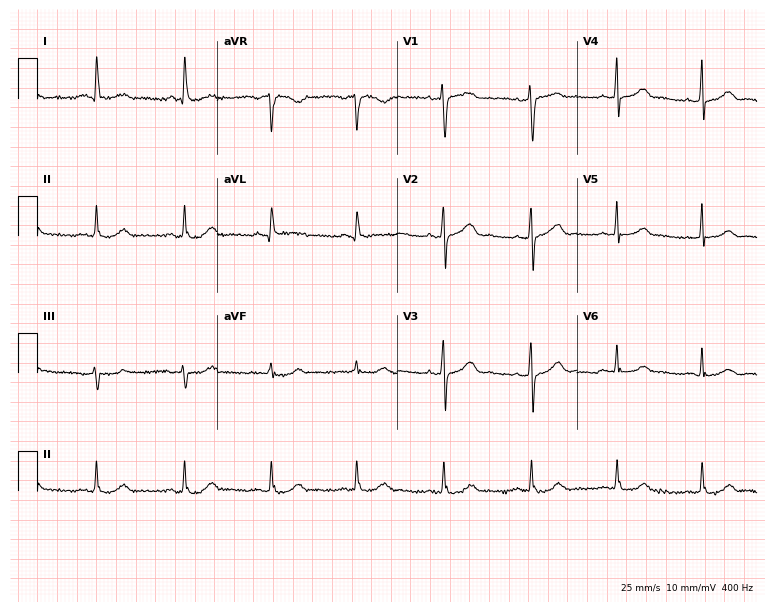
ECG (7.3-second recording at 400 Hz) — a female, 55 years old. Screened for six findings — first-degree AV block, right bundle branch block (RBBB), left bundle branch block (LBBB), sinus bradycardia, atrial fibrillation (AF), sinus tachycardia — none is recorded. Other findings, if any, are not listed.